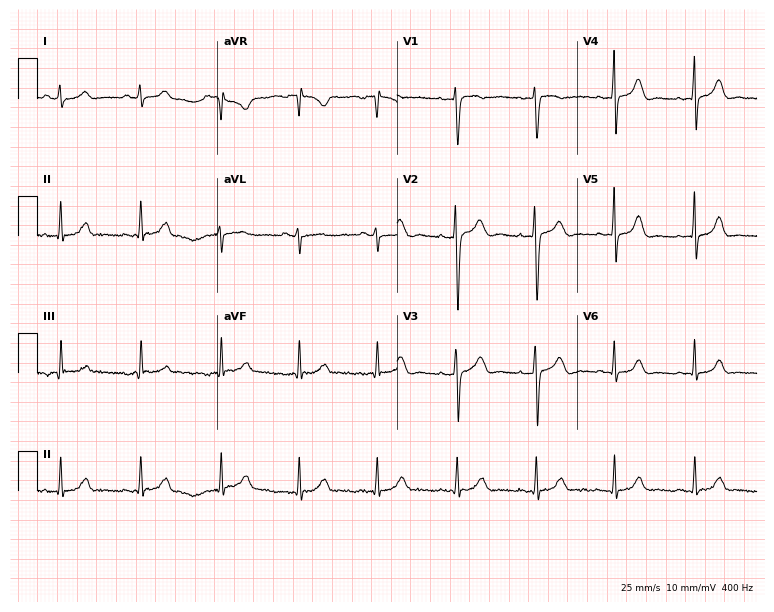
ECG — a 25-year-old female. Screened for six findings — first-degree AV block, right bundle branch block, left bundle branch block, sinus bradycardia, atrial fibrillation, sinus tachycardia — none is recorded. Other findings, if any, are not listed.